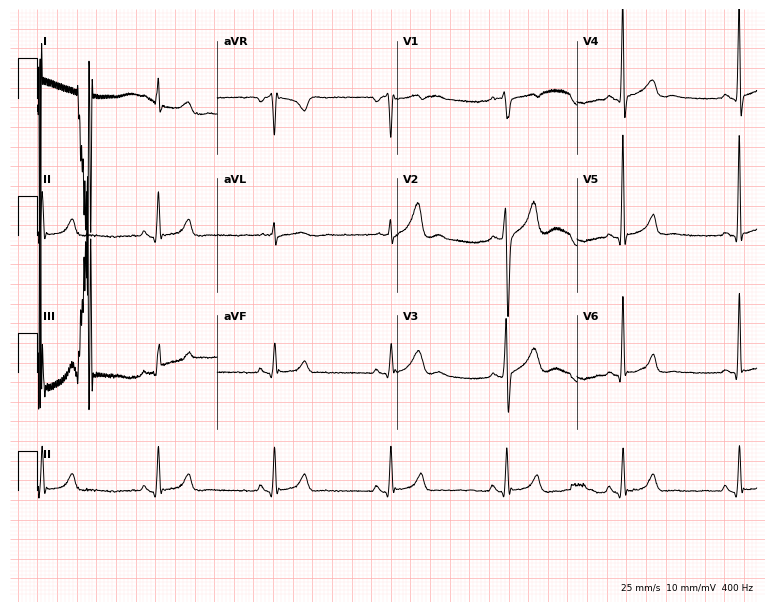
Standard 12-lead ECG recorded from a male, 23 years old (7.3-second recording at 400 Hz). Read as a normal ECG.